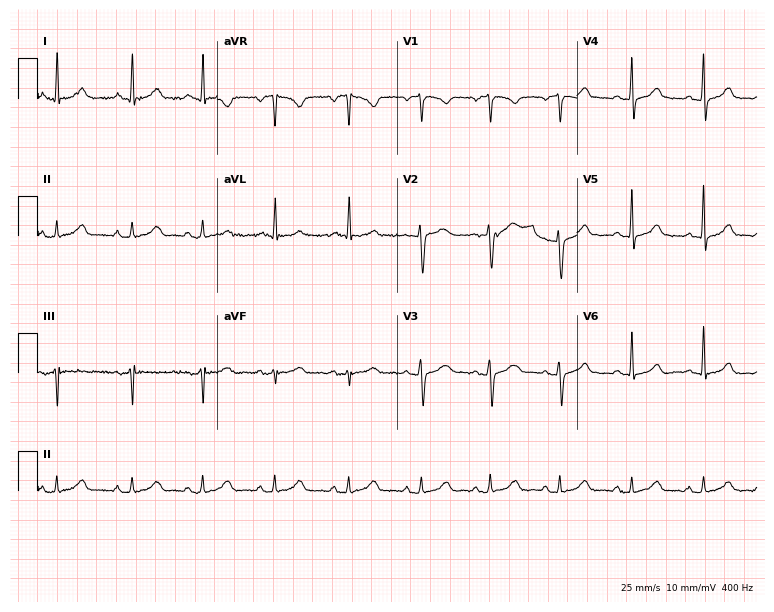
12-lead ECG from a woman, 41 years old. Labelled as a normal ECG.